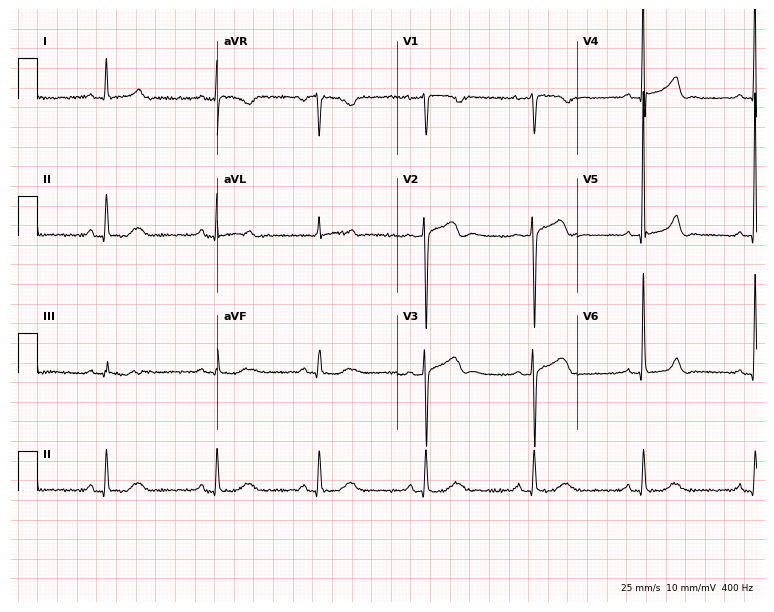
Resting 12-lead electrocardiogram. Patient: a female, 67 years old. None of these six findings is recorded: first-degree AV block, right bundle branch block, left bundle branch block, sinus bradycardia, atrial fibrillation, sinus tachycardia. Only these six findings were labelled.